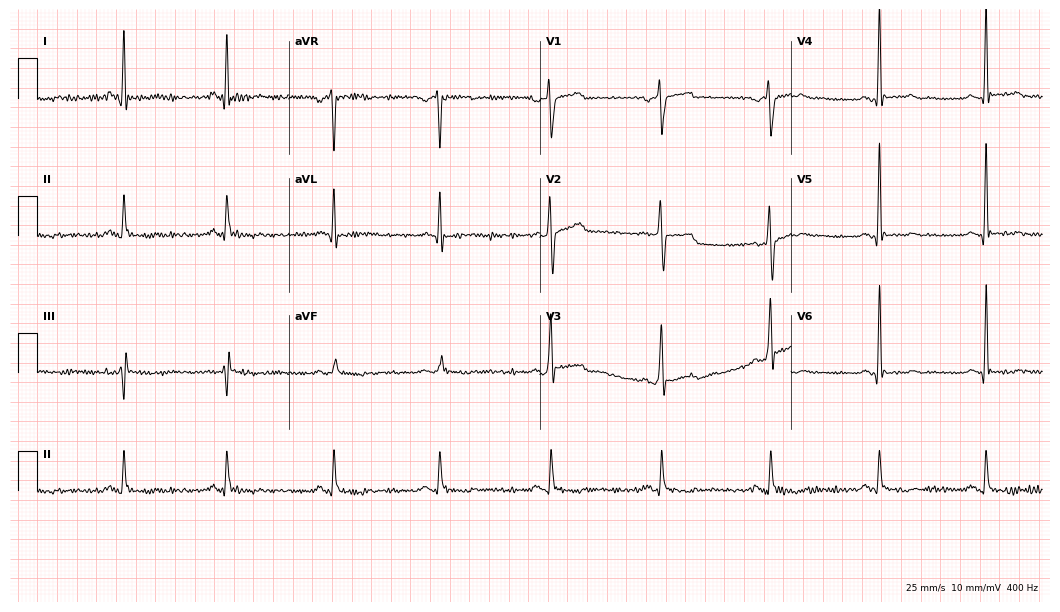
Standard 12-lead ECG recorded from a 38-year-old male. None of these six findings is recorded: first-degree AV block, right bundle branch block, left bundle branch block, sinus bradycardia, atrial fibrillation, sinus tachycardia. Only these six findings were labelled.